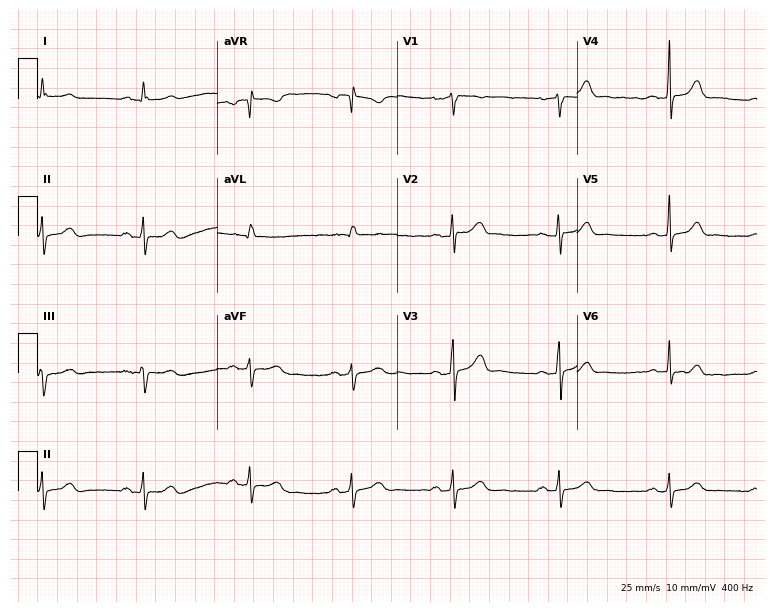
ECG — a female patient, 23 years old. Labelled as a normal ECG.